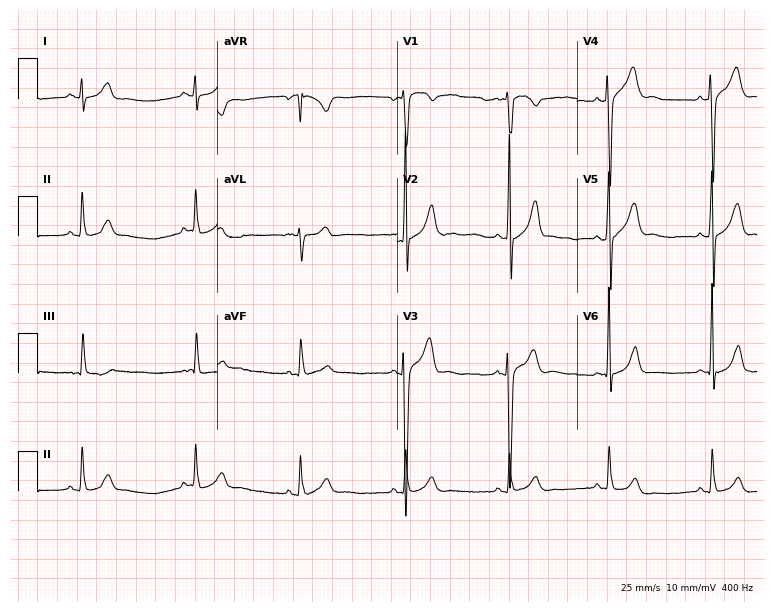
12-lead ECG from a 17-year-old male. Recorded interpretation: within normal limits.